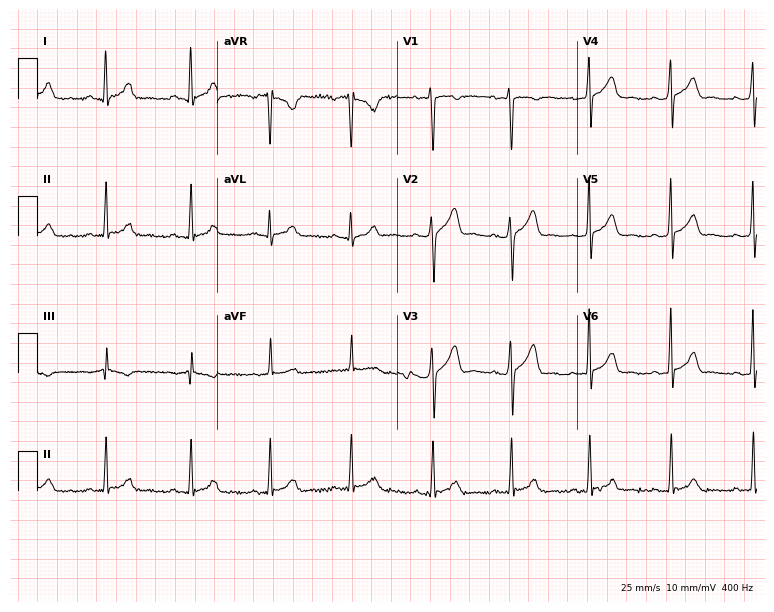
Electrocardiogram (7.3-second recording at 400 Hz), a male, 28 years old. Overall reading on record: normal ECG.